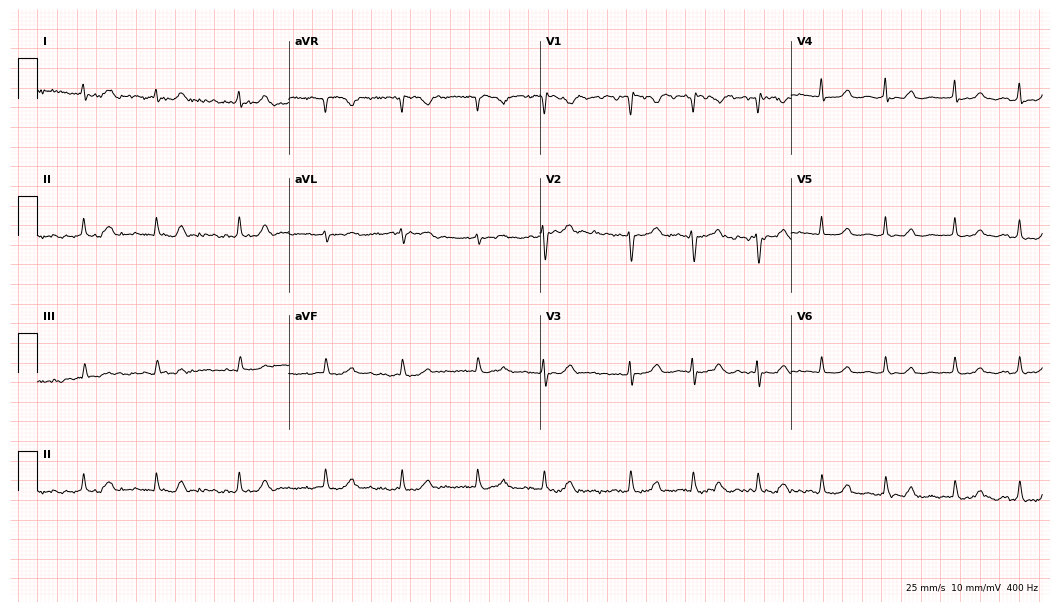
ECG — a female patient, 73 years old. Findings include atrial fibrillation.